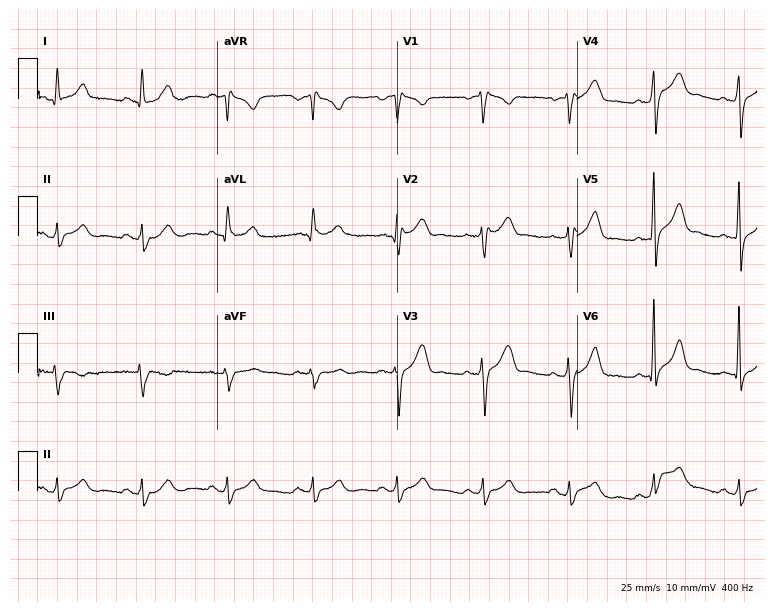
Electrocardiogram, a 44-year-old man. Overall reading on record: normal ECG.